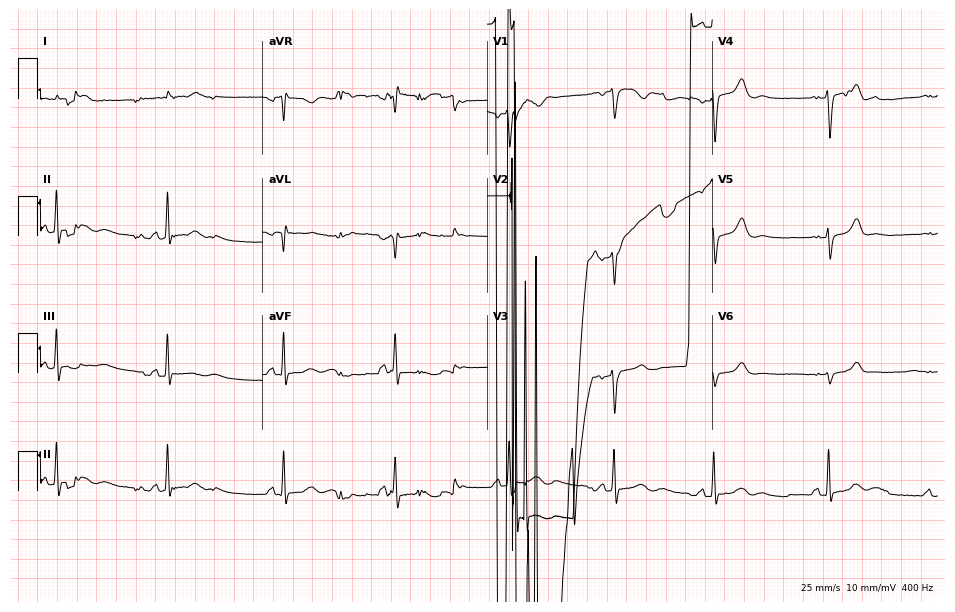
12-lead ECG from a man, 78 years old. Screened for six findings — first-degree AV block, right bundle branch block, left bundle branch block, sinus bradycardia, atrial fibrillation, sinus tachycardia — none is recorded. Other findings, if any, are not listed.